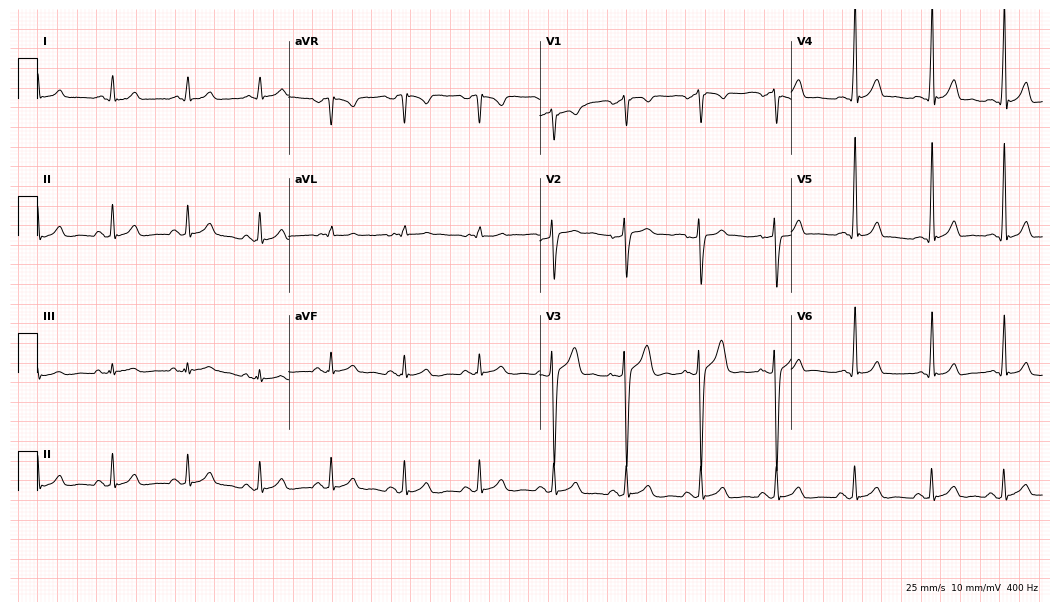
Electrocardiogram (10.2-second recording at 400 Hz), a 22-year-old male patient. Of the six screened findings (first-degree AV block, right bundle branch block, left bundle branch block, sinus bradycardia, atrial fibrillation, sinus tachycardia), none is recorded.